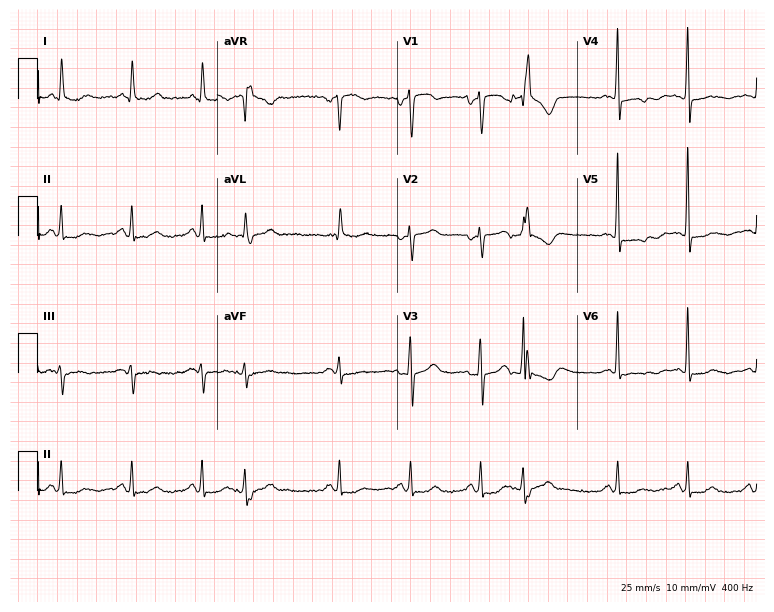
12-lead ECG (7.3-second recording at 400 Hz) from a 78-year-old female patient. Screened for six findings — first-degree AV block, right bundle branch block, left bundle branch block, sinus bradycardia, atrial fibrillation, sinus tachycardia — none is recorded. Findings outside these six are not listed.